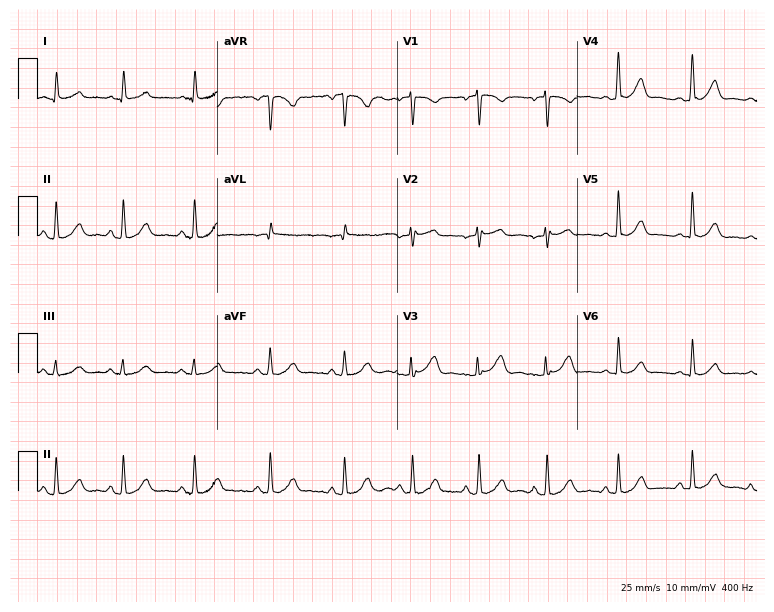
Standard 12-lead ECG recorded from a 44-year-old woman (7.3-second recording at 400 Hz). Read as a normal ECG.